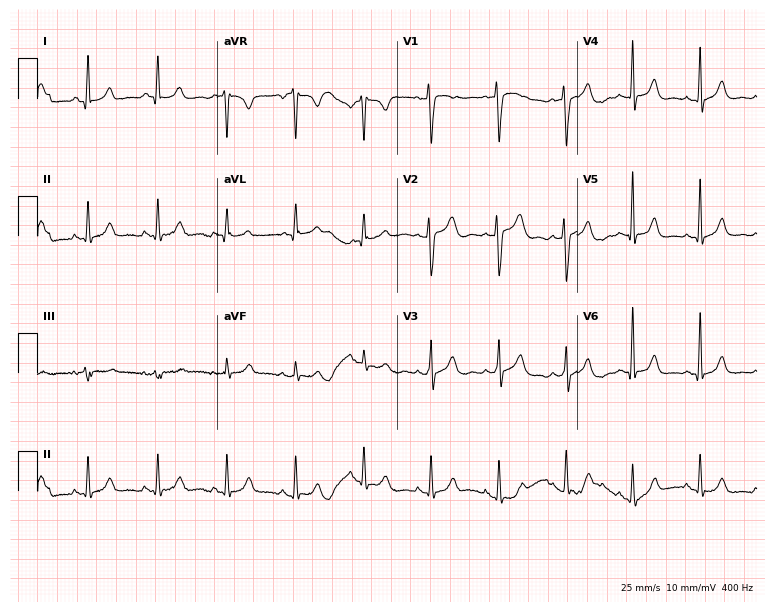
Standard 12-lead ECG recorded from a 40-year-old female patient (7.3-second recording at 400 Hz). Read as a normal ECG.